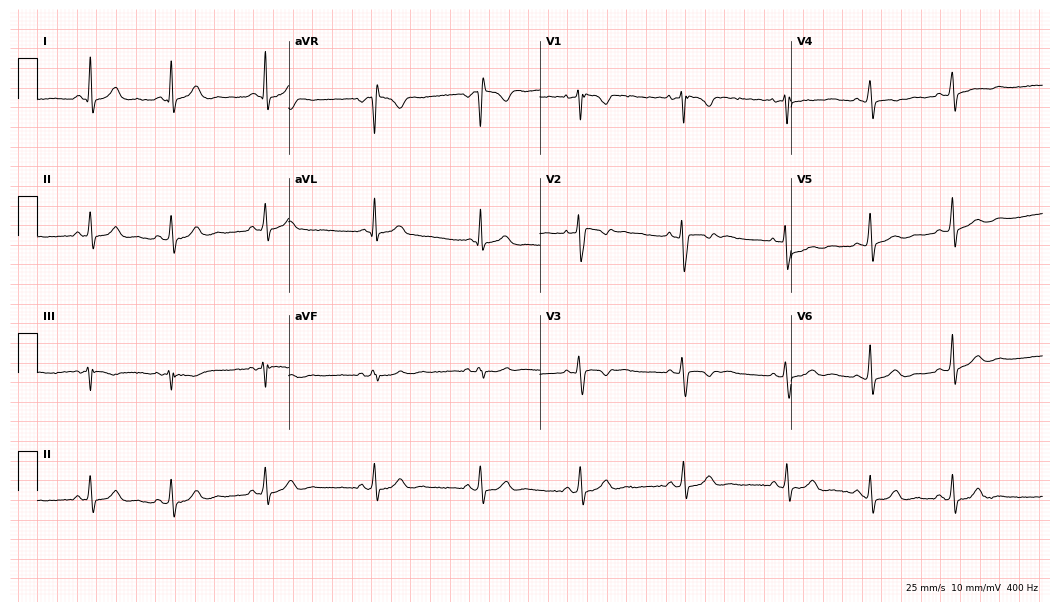
Electrocardiogram, a 21-year-old female. Overall reading on record: normal ECG.